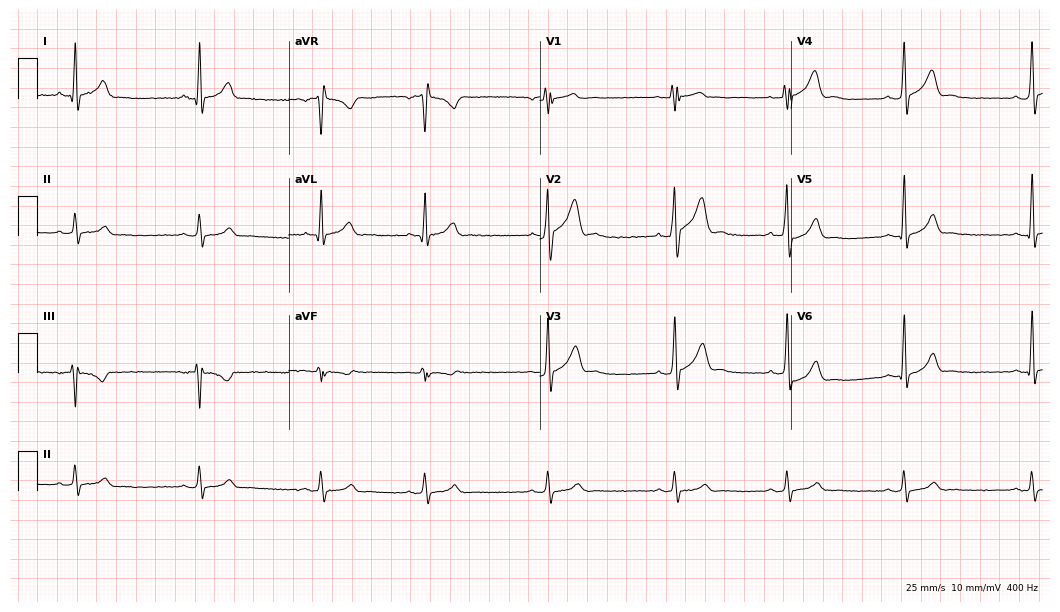
Electrocardiogram, a man, 30 years old. Overall reading on record: normal ECG.